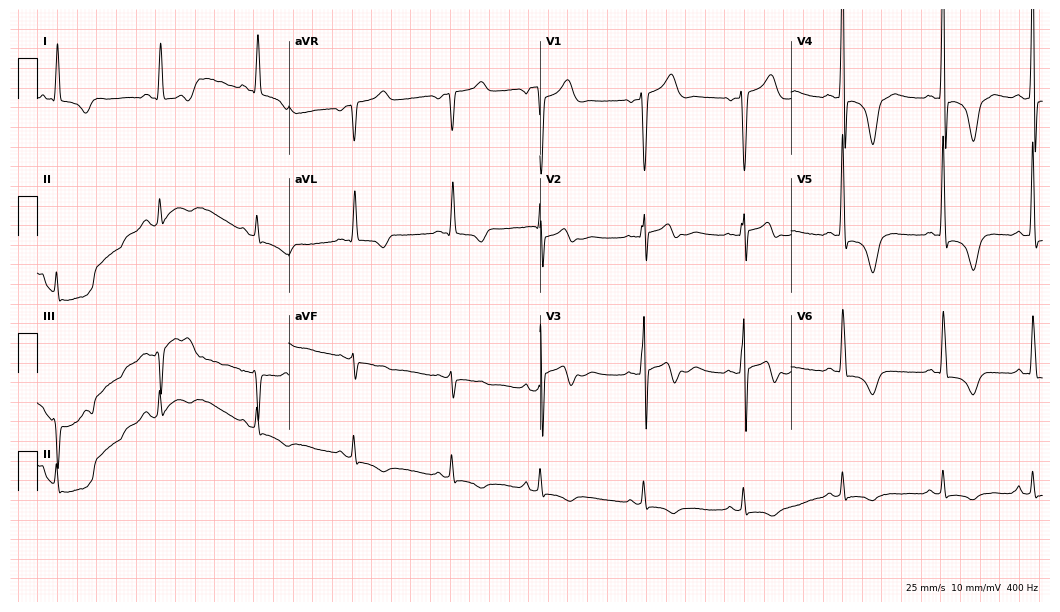
Standard 12-lead ECG recorded from a male, 69 years old. None of these six findings is recorded: first-degree AV block, right bundle branch block (RBBB), left bundle branch block (LBBB), sinus bradycardia, atrial fibrillation (AF), sinus tachycardia.